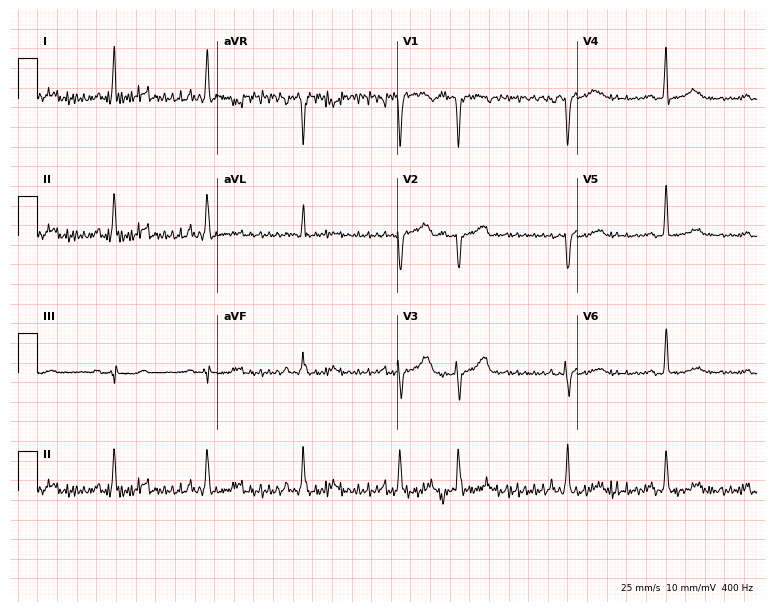
Resting 12-lead electrocardiogram. Patient: a 54-year-old female. Read as a normal ECG.